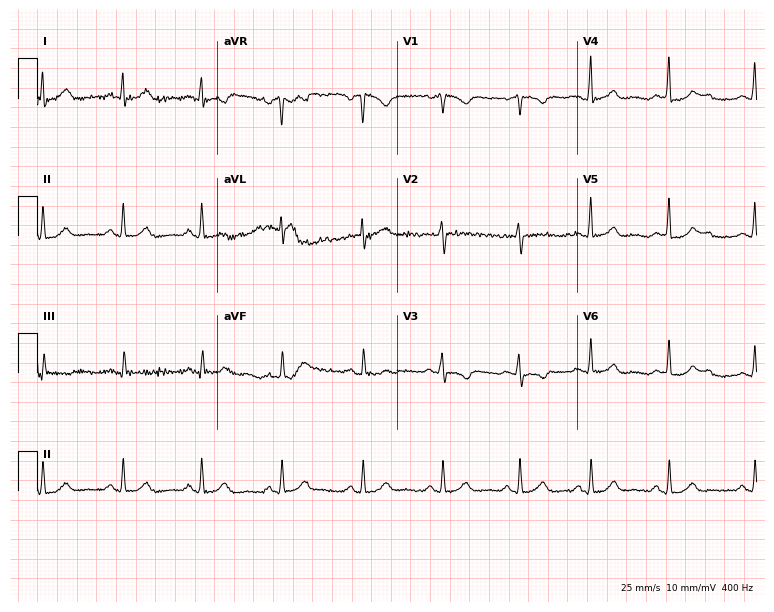
Resting 12-lead electrocardiogram (7.3-second recording at 400 Hz). Patient: a 39-year-old female. None of these six findings is recorded: first-degree AV block, right bundle branch block, left bundle branch block, sinus bradycardia, atrial fibrillation, sinus tachycardia.